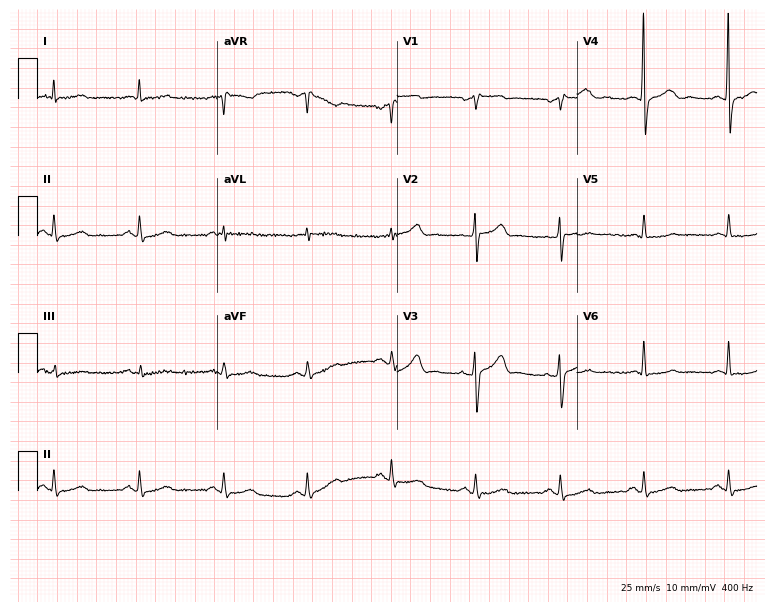
12-lead ECG from a male patient, 60 years old (7.3-second recording at 400 Hz). No first-degree AV block, right bundle branch block, left bundle branch block, sinus bradycardia, atrial fibrillation or sinus tachycardia recorded for this tracing. Findings outside these six are not listed.